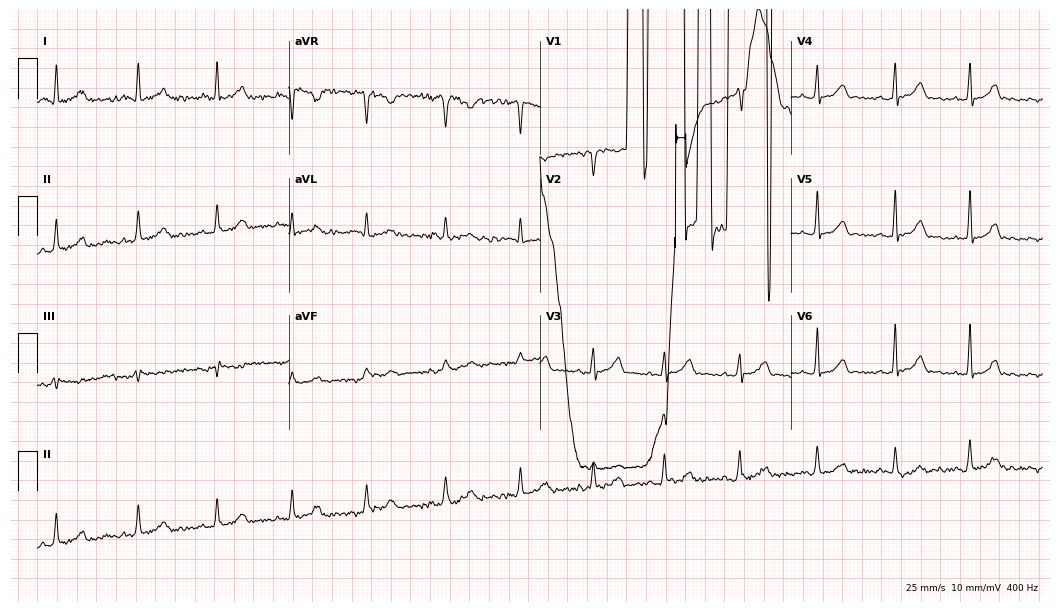
12-lead ECG from a woman, 37 years old (10.2-second recording at 400 Hz). No first-degree AV block, right bundle branch block (RBBB), left bundle branch block (LBBB), sinus bradycardia, atrial fibrillation (AF) or sinus tachycardia recorded for this tracing. Other findings, if any, are not listed.